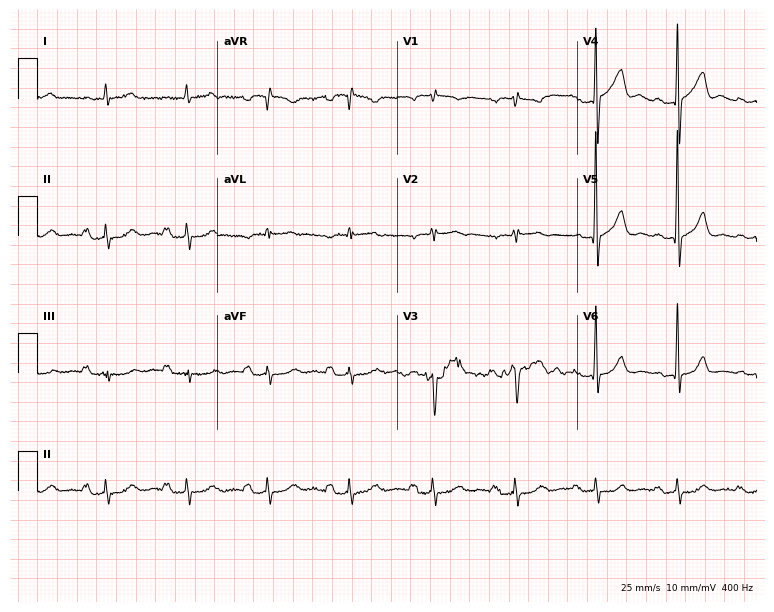
Electrocardiogram, a male patient, 66 years old. Of the six screened findings (first-degree AV block, right bundle branch block, left bundle branch block, sinus bradycardia, atrial fibrillation, sinus tachycardia), none is recorded.